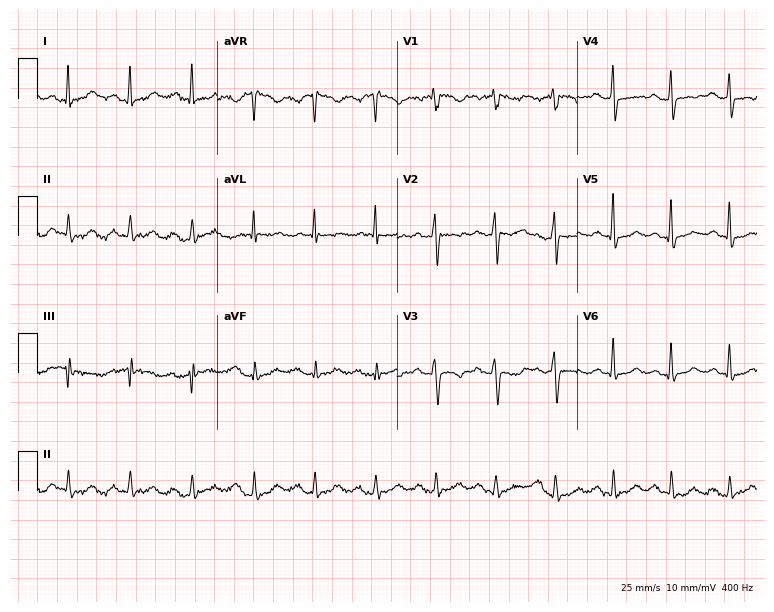
Resting 12-lead electrocardiogram. Patient: a woman, 48 years old. None of these six findings is recorded: first-degree AV block, right bundle branch block, left bundle branch block, sinus bradycardia, atrial fibrillation, sinus tachycardia.